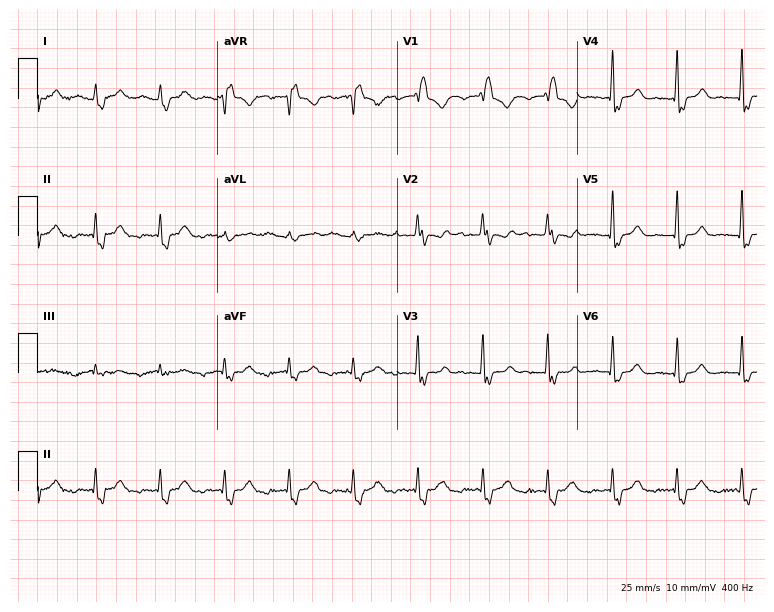
ECG — a 39-year-old woman. Findings include right bundle branch block.